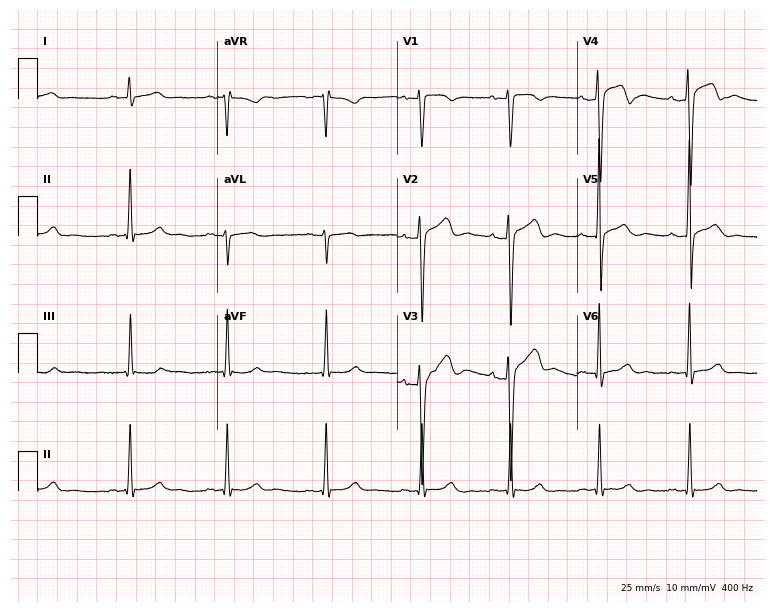
ECG (7.3-second recording at 400 Hz) — a male patient, 25 years old. Screened for six findings — first-degree AV block, right bundle branch block (RBBB), left bundle branch block (LBBB), sinus bradycardia, atrial fibrillation (AF), sinus tachycardia — none is recorded. Findings outside these six are not listed.